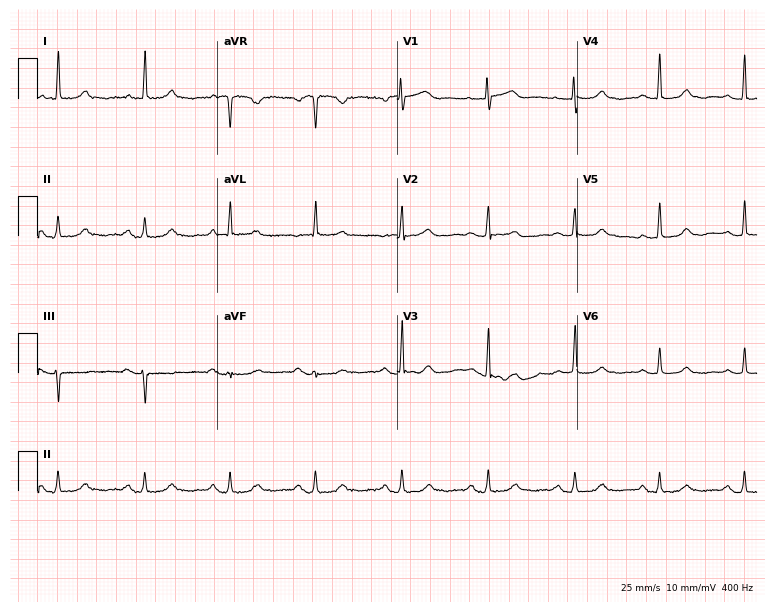
12-lead ECG from a 72-year-old woman. Screened for six findings — first-degree AV block, right bundle branch block, left bundle branch block, sinus bradycardia, atrial fibrillation, sinus tachycardia — none is recorded. Findings outside these six are not listed.